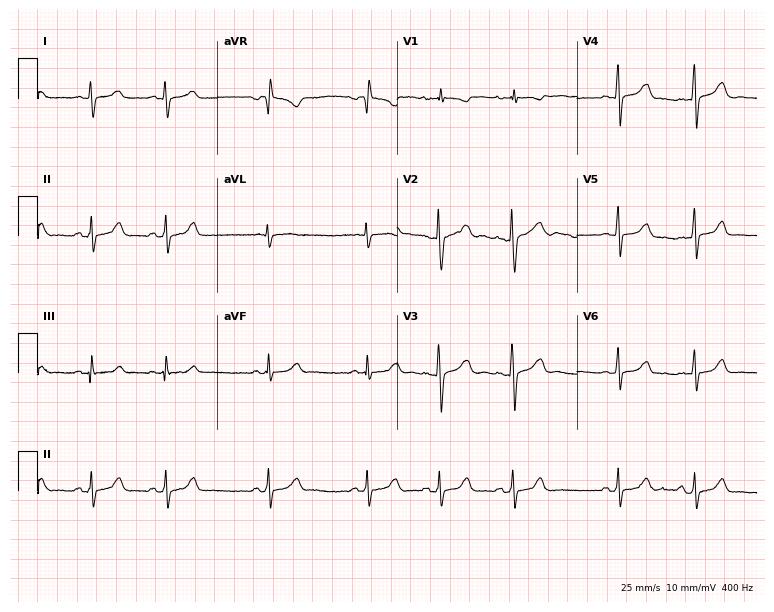
12-lead ECG (7.3-second recording at 400 Hz) from a woman, 18 years old. Labelled as a normal ECG.